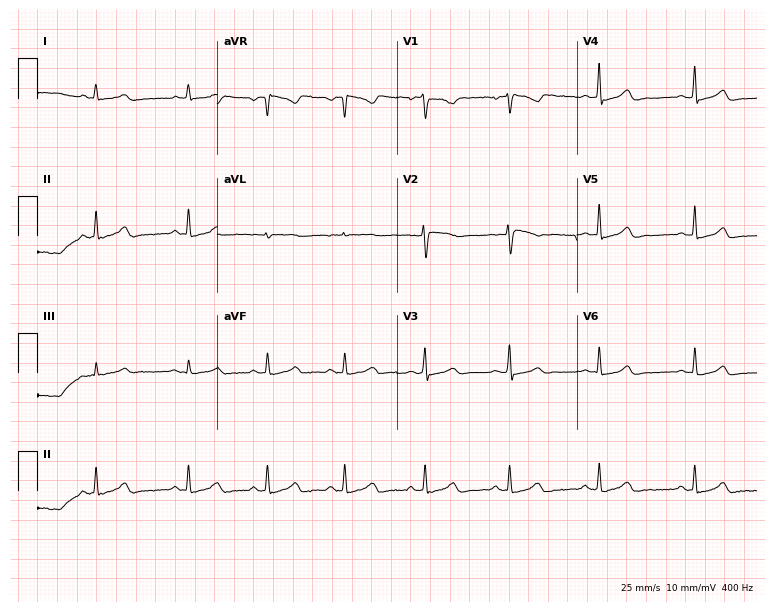
ECG (7.3-second recording at 400 Hz) — a 21-year-old woman. Screened for six findings — first-degree AV block, right bundle branch block (RBBB), left bundle branch block (LBBB), sinus bradycardia, atrial fibrillation (AF), sinus tachycardia — none is recorded. Other findings, if any, are not listed.